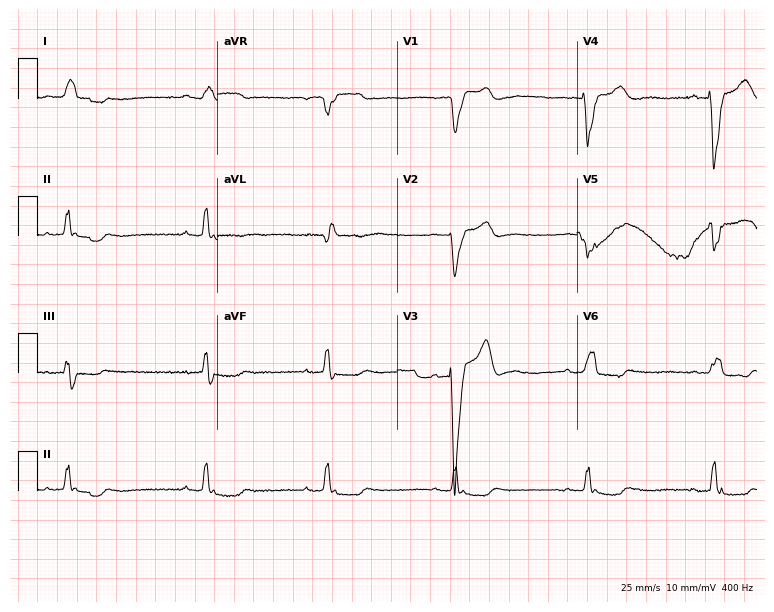
12-lead ECG (7.3-second recording at 400 Hz) from a male patient, 66 years old. Findings include left bundle branch block, sinus bradycardia (a sinus rate of 50 beats per minute or less).